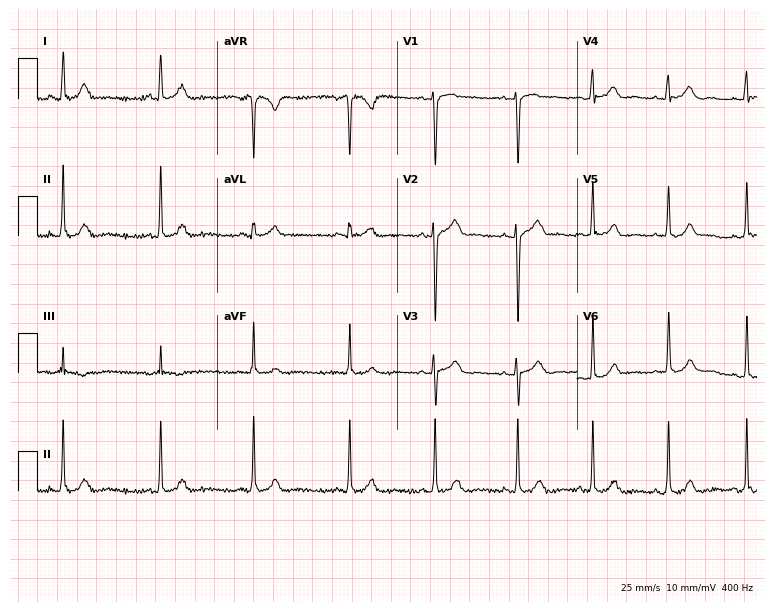
Standard 12-lead ECG recorded from a 21-year-old female. None of these six findings is recorded: first-degree AV block, right bundle branch block (RBBB), left bundle branch block (LBBB), sinus bradycardia, atrial fibrillation (AF), sinus tachycardia. Findings outside these six are not listed.